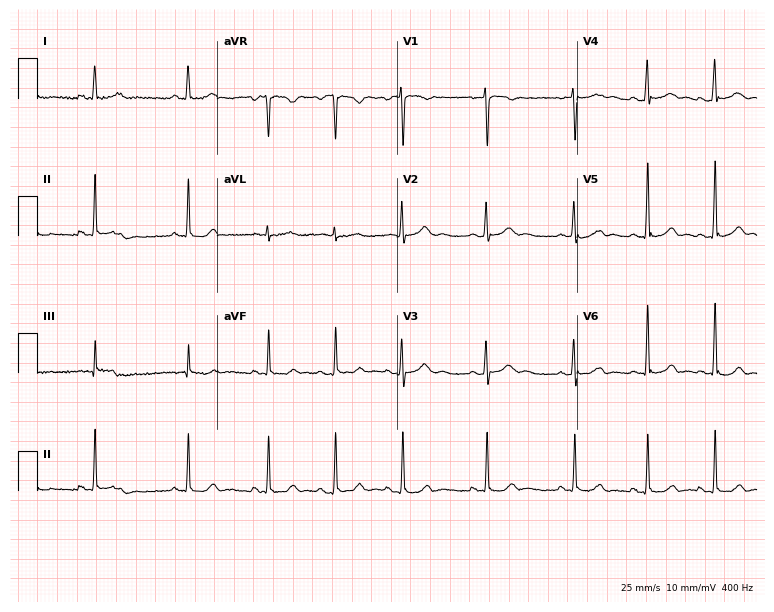
12-lead ECG from a female patient, 17 years old (7.3-second recording at 400 Hz). Recorded interpretation: within normal limits.